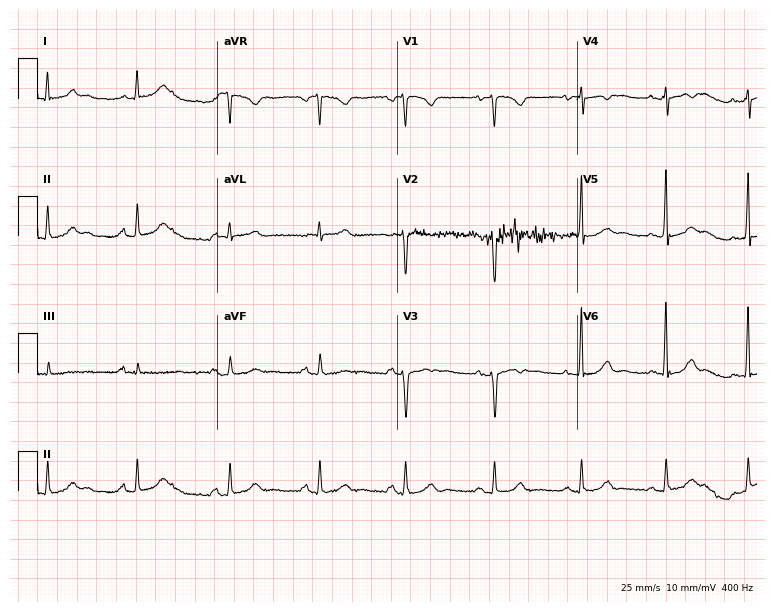
ECG — a female patient, 38 years old. Screened for six findings — first-degree AV block, right bundle branch block, left bundle branch block, sinus bradycardia, atrial fibrillation, sinus tachycardia — none is recorded.